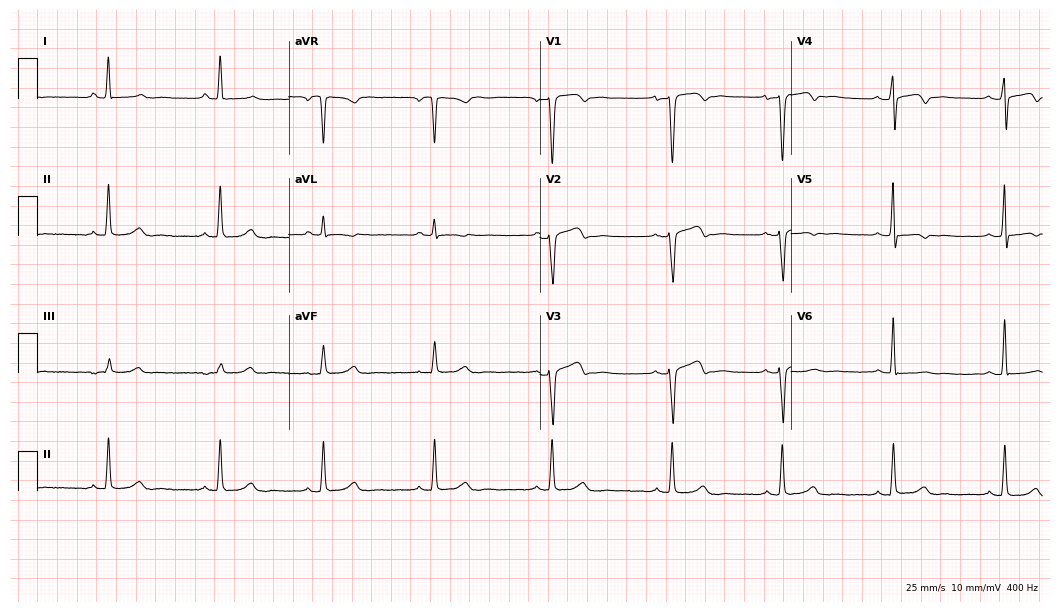
Electrocardiogram, a female, 31 years old. Overall reading on record: normal ECG.